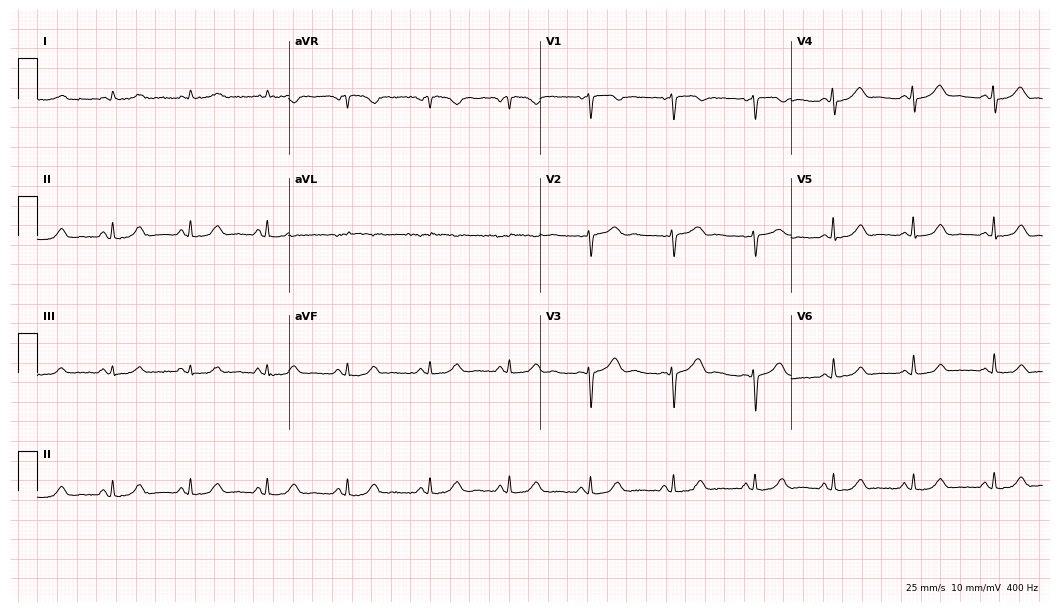
Resting 12-lead electrocardiogram. Patient: a female, 40 years old. None of these six findings is recorded: first-degree AV block, right bundle branch block, left bundle branch block, sinus bradycardia, atrial fibrillation, sinus tachycardia.